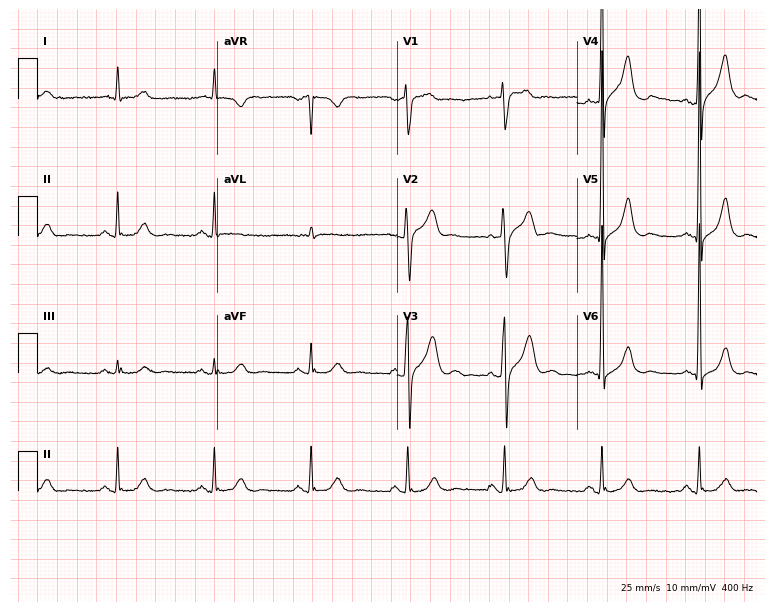
Electrocardiogram, a 52-year-old man. Of the six screened findings (first-degree AV block, right bundle branch block (RBBB), left bundle branch block (LBBB), sinus bradycardia, atrial fibrillation (AF), sinus tachycardia), none is recorded.